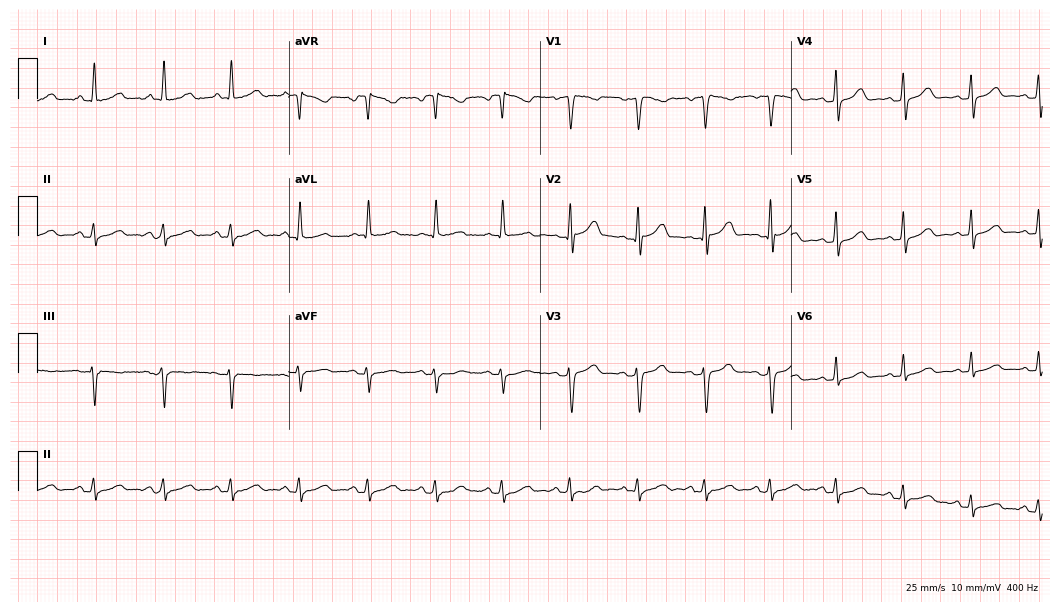
ECG — a 59-year-old female patient. Labelled as a normal ECG.